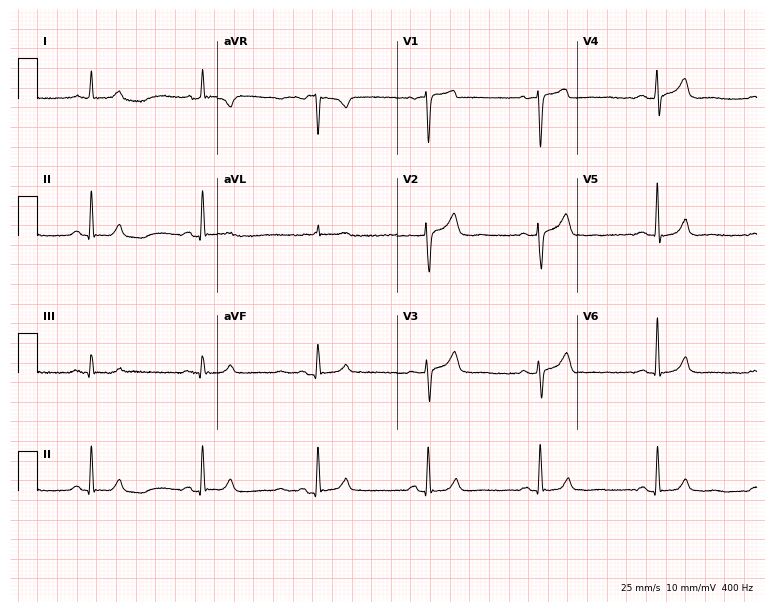
Standard 12-lead ECG recorded from a 61-year-old male patient. None of these six findings is recorded: first-degree AV block, right bundle branch block (RBBB), left bundle branch block (LBBB), sinus bradycardia, atrial fibrillation (AF), sinus tachycardia.